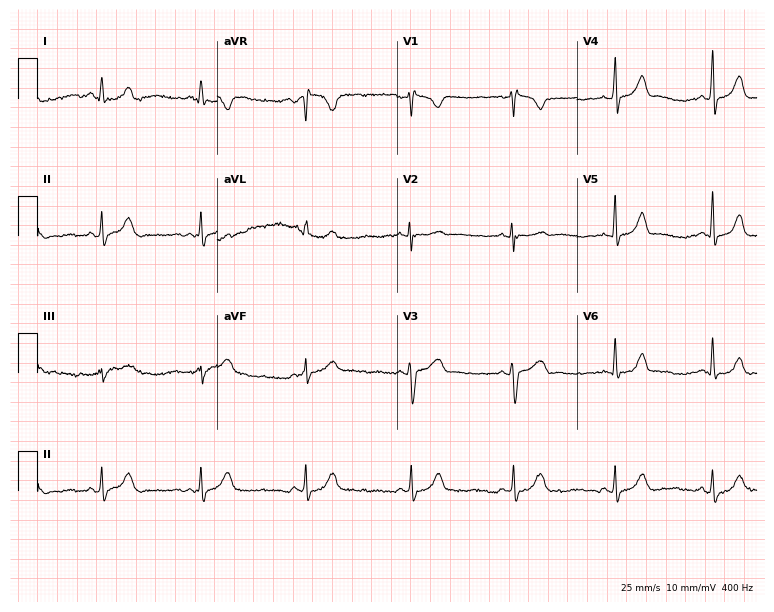
12-lead ECG (7.3-second recording at 400 Hz) from a 21-year-old woman. Labelled as a normal ECG.